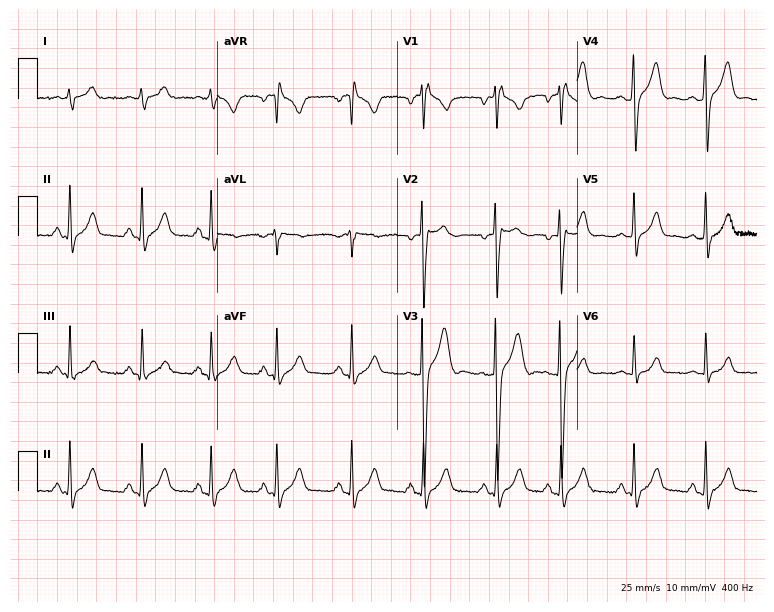
12-lead ECG (7.3-second recording at 400 Hz) from a 32-year-old male. Screened for six findings — first-degree AV block, right bundle branch block (RBBB), left bundle branch block (LBBB), sinus bradycardia, atrial fibrillation (AF), sinus tachycardia — none is recorded. Other findings, if any, are not listed.